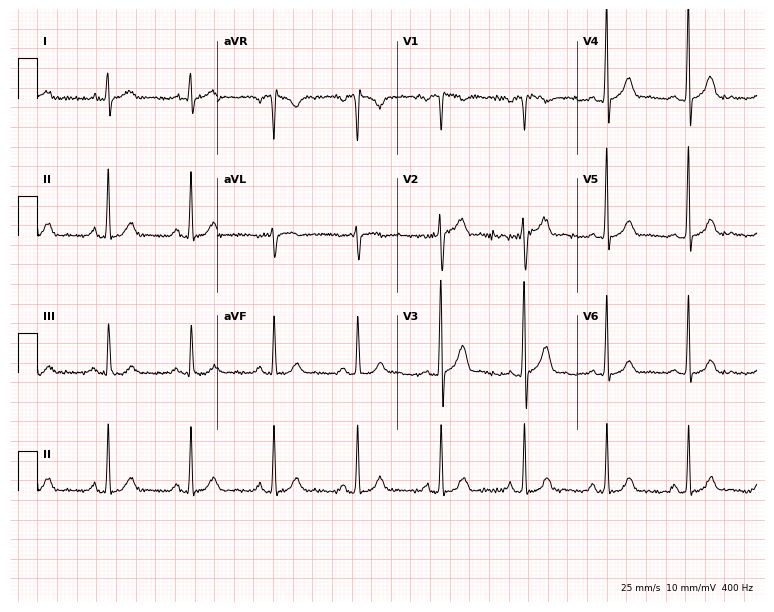
Electrocardiogram (7.3-second recording at 400 Hz), a 35-year-old man. Overall reading on record: normal ECG.